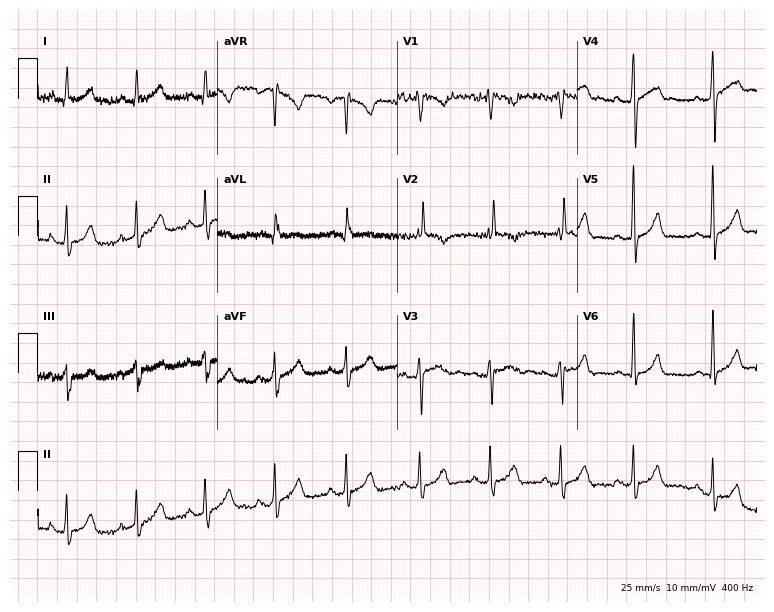
12-lead ECG from an 18-year-old male patient. Recorded interpretation: within normal limits.